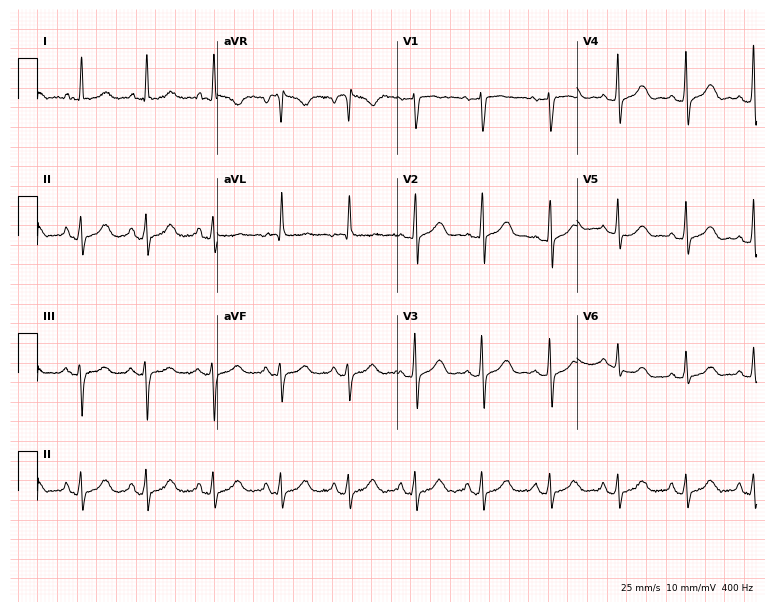
12-lead ECG (7.3-second recording at 400 Hz) from a female patient, 69 years old. Labelled as a normal ECG.